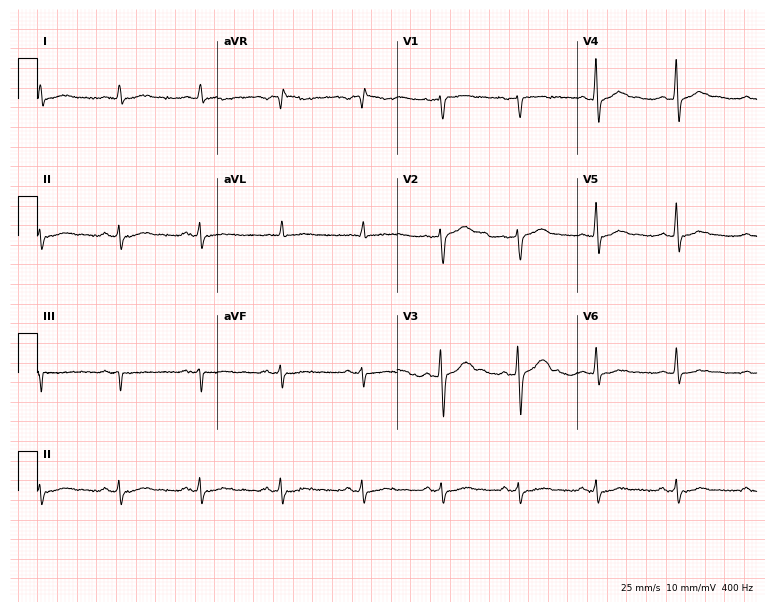
12-lead ECG from a male, 55 years old. Labelled as a normal ECG.